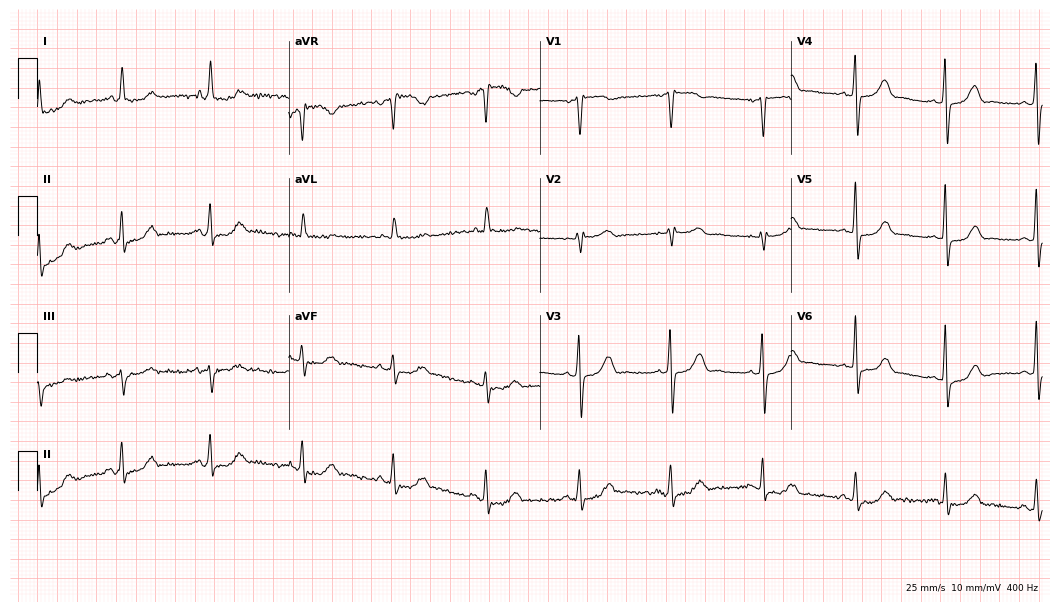
Electrocardiogram, a 45-year-old woman. Of the six screened findings (first-degree AV block, right bundle branch block, left bundle branch block, sinus bradycardia, atrial fibrillation, sinus tachycardia), none is recorded.